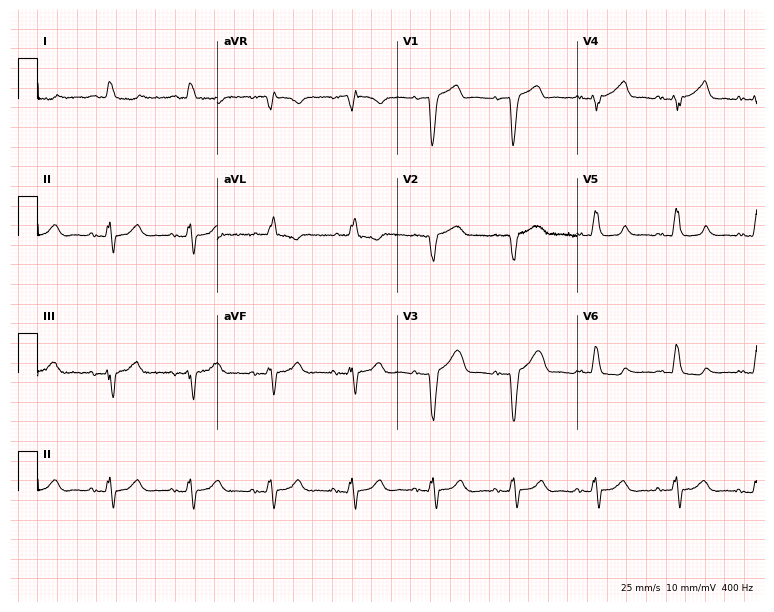
12-lead ECG from a male patient, 85 years old. Screened for six findings — first-degree AV block, right bundle branch block (RBBB), left bundle branch block (LBBB), sinus bradycardia, atrial fibrillation (AF), sinus tachycardia — none is recorded. Only these six findings were labelled.